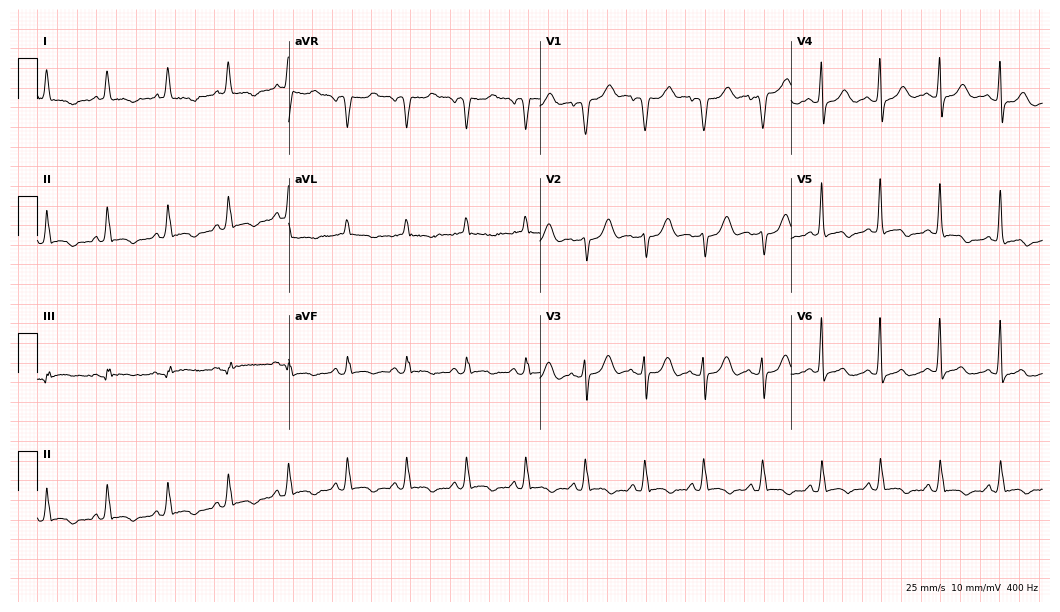
Standard 12-lead ECG recorded from a 75-year-old woman (10.2-second recording at 400 Hz). None of these six findings is recorded: first-degree AV block, right bundle branch block, left bundle branch block, sinus bradycardia, atrial fibrillation, sinus tachycardia. Findings outside these six are not listed.